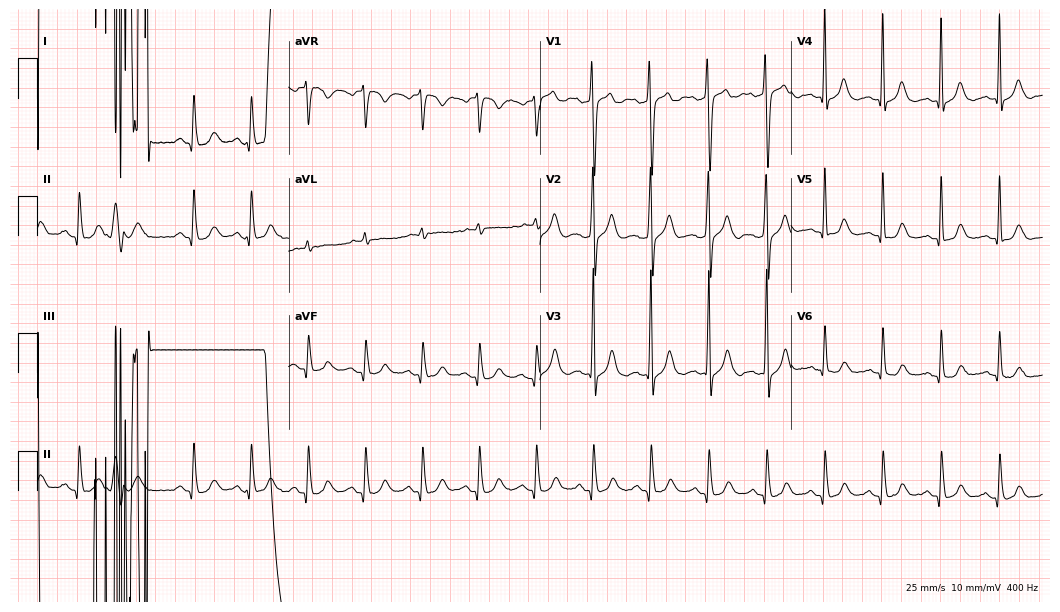
12-lead ECG from a 59-year-old male. No first-degree AV block, right bundle branch block, left bundle branch block, sinus bradycardia, atrial fibrillation or sinus tachycardia recorded for this tracing. Only these six findings were labelled.